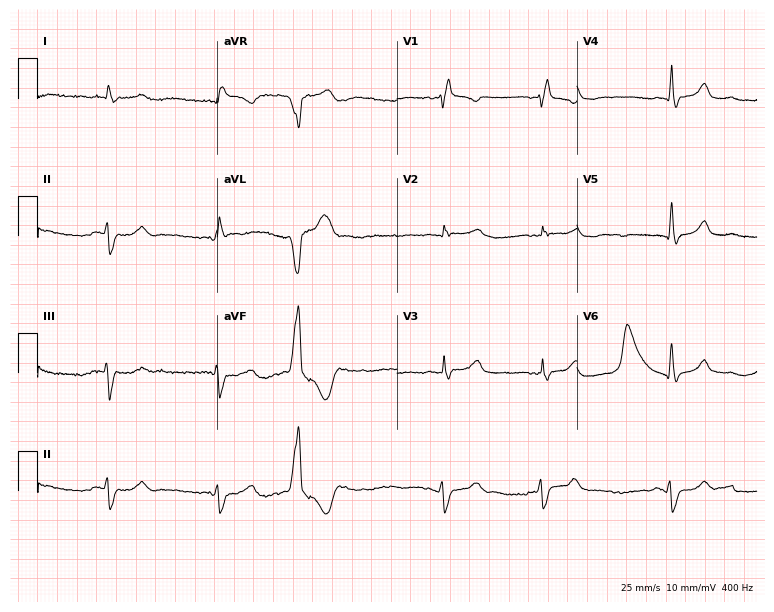
Resting 12-lead electrocardiogram (7.3-second recording at 400 Hz). Patient: a male, 57 years old. The tracing shows right bundle branch block.